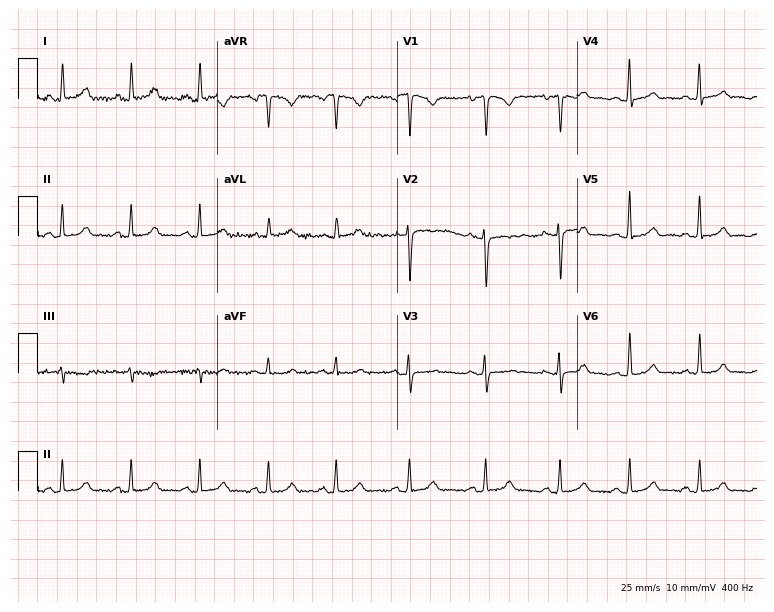
ECG (7.3-second recording at 400 Hz) — a female, 33 years old. Labelled as a normal ECG.